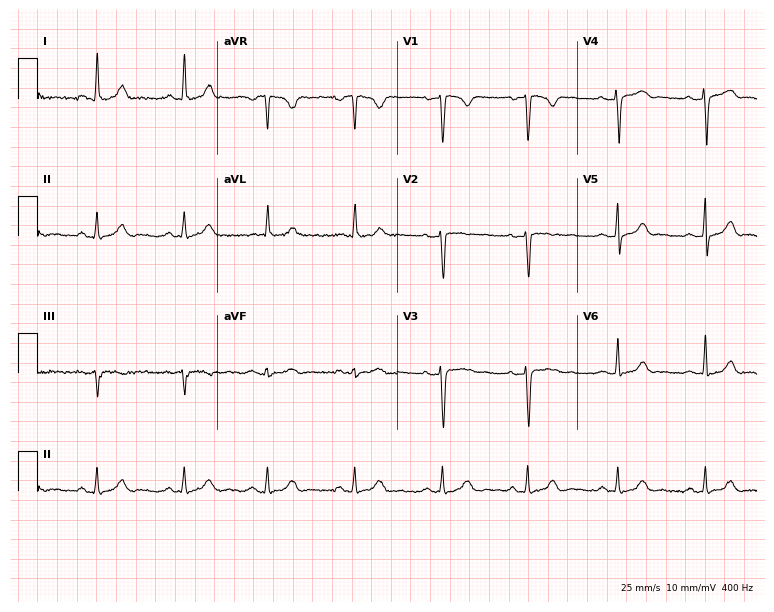
ECG (7.3-second recording at 400 Hz) — a 29-year-old woman. Labelled as a normal ECG.